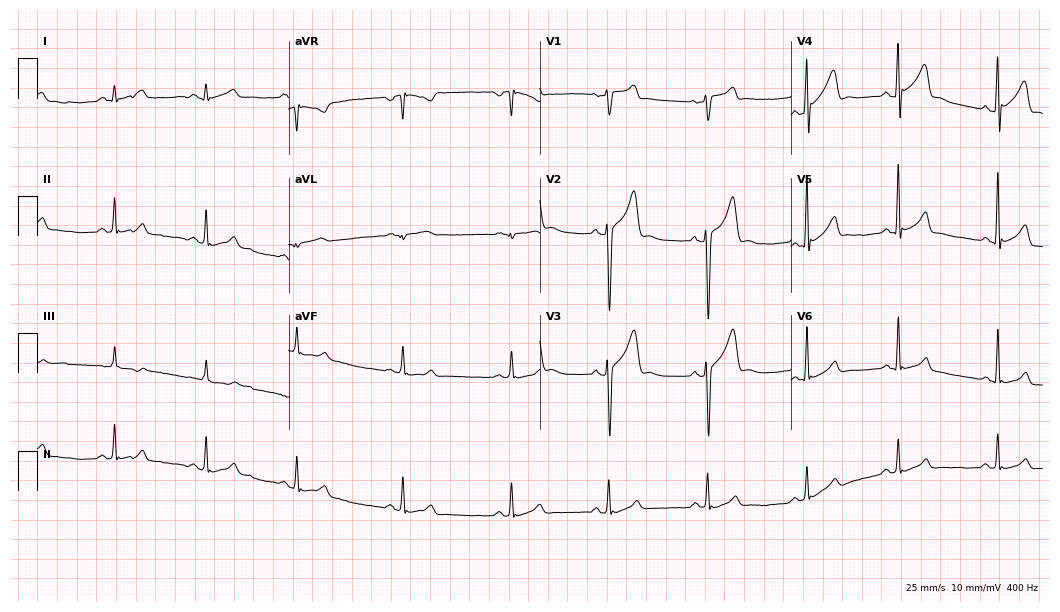
Resting 12-lead electrocardiogram. Patient: a male, 29 years old. Read as a normal ECG.